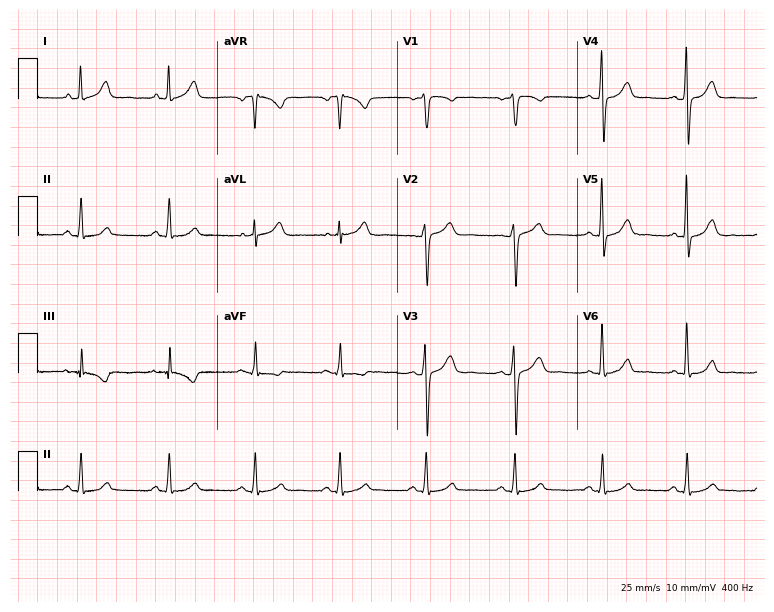
12-lead ECG from a female, 46 years old (7.3-second recording at 400 Hz). Recorded interpretation: within normal limits.